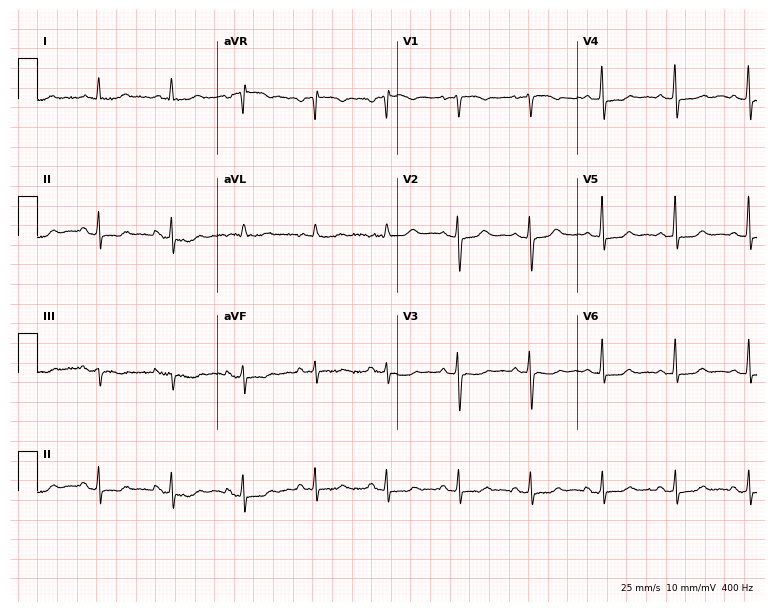
ECG — a female, 82 years old. Screened for six findings — first-degree AV block, right bundle branch block, left bundle branch block, sinus bradycardia, atrial fibrillation, sinus tachycardia — none is recorded.